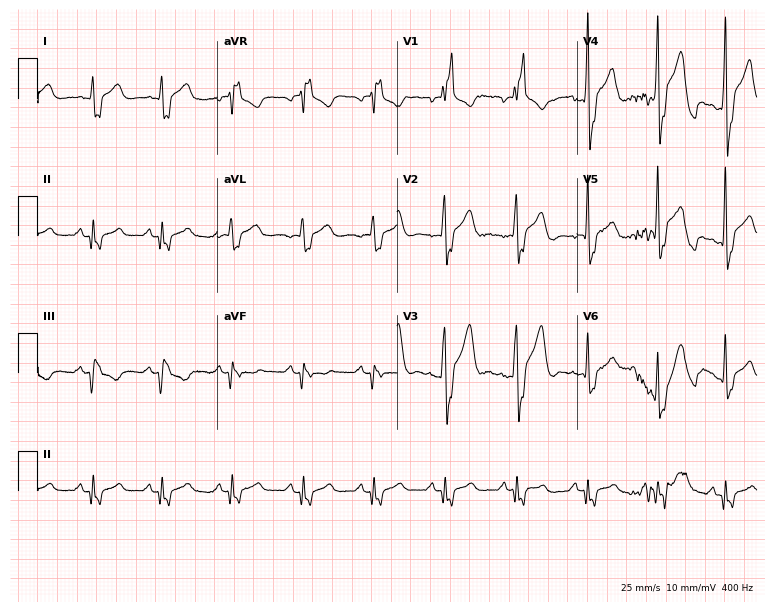
Electrocardiogram (7.3-second recording at 400 Hz), a 59-year-old male patient. Interpretation includes right bundle branch block.